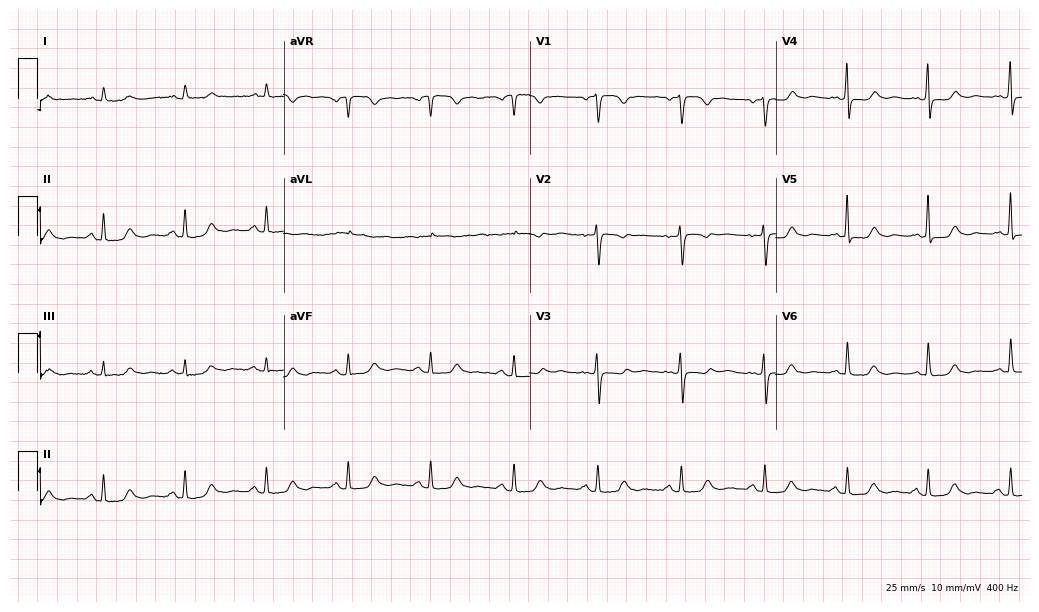
12-lead ECG from a 73-year-old female patient. No first-degree AV block, right bundle branch block (RBBB), left bundle branch block (LBBB), sinus bradycardia, atrial fibrillation (AF) or sinus tachycardia recorded for this tracing. Findings outside these six are not listed.